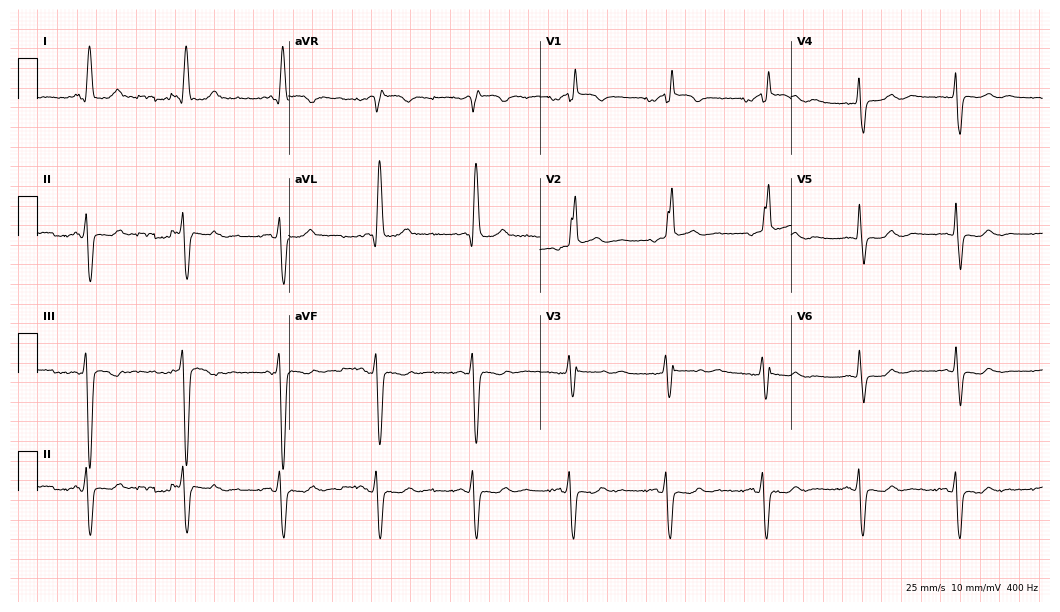
Standard 12-lead ECG recorded from a female, 73 years old. None of these six findings is recorded: first-degree AV block, right bundle branch block (RBBB), left bundle branch block (LBBB), sinus bradycardia, atrial fibrillation (AF), sinus tachycardia. Findings outside these six are not listed.